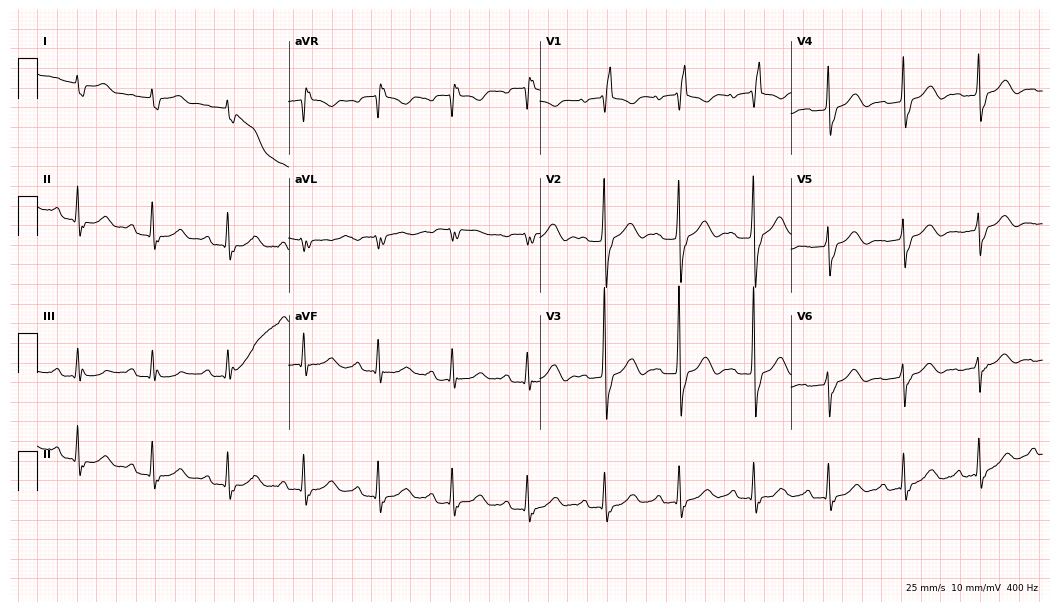
ECG (10.2-second recording at 400 Hz) — a male patient, 79 years old. Findings include first-degree AV block, right bundle branch block.